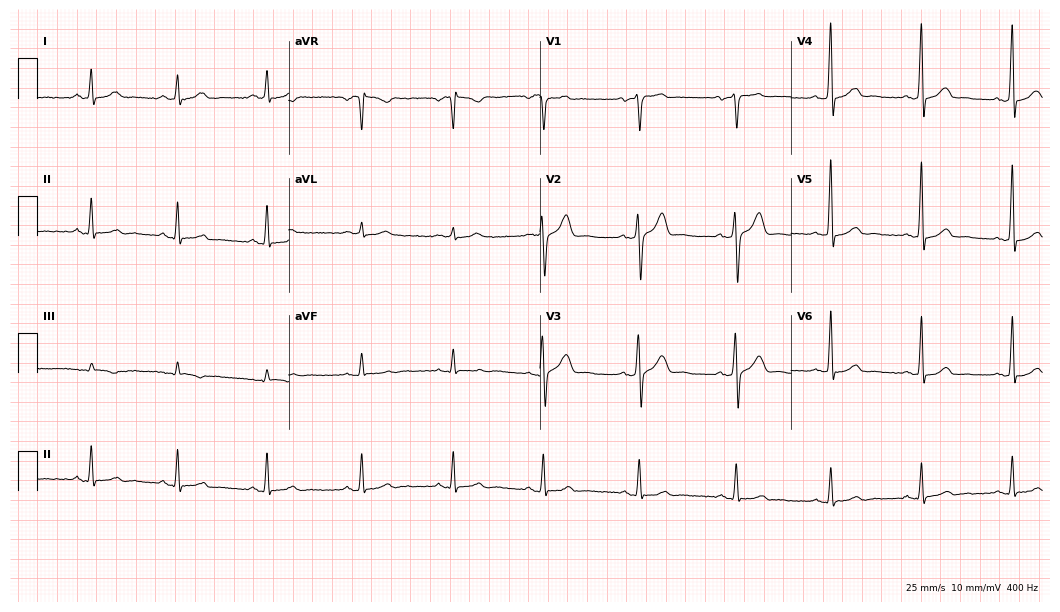
Standard 12-lead ECG recorded from a woman, 33 years old (10.2-second recording at 400 Hz). Read as a normal ECG.